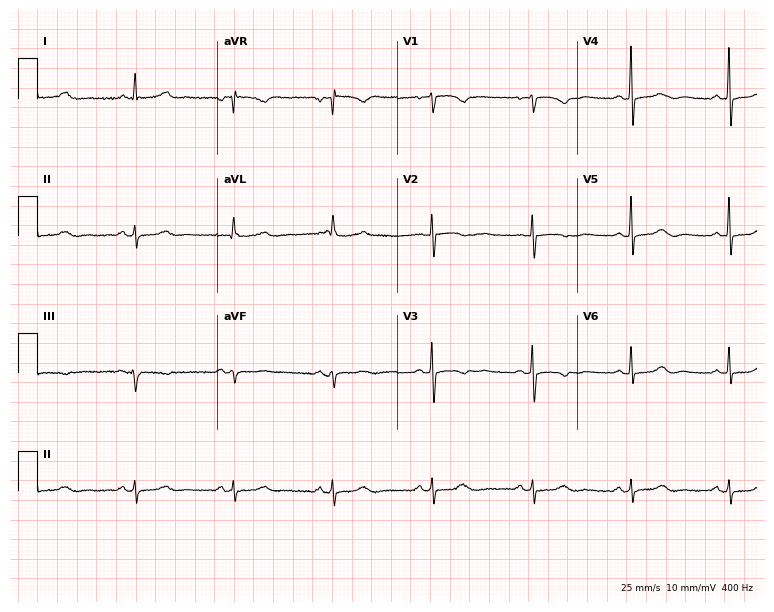
12-lead ECG (7.3-second recording at 400 Hz) from a woman, 69 years old. Labelled as a normal ECG.